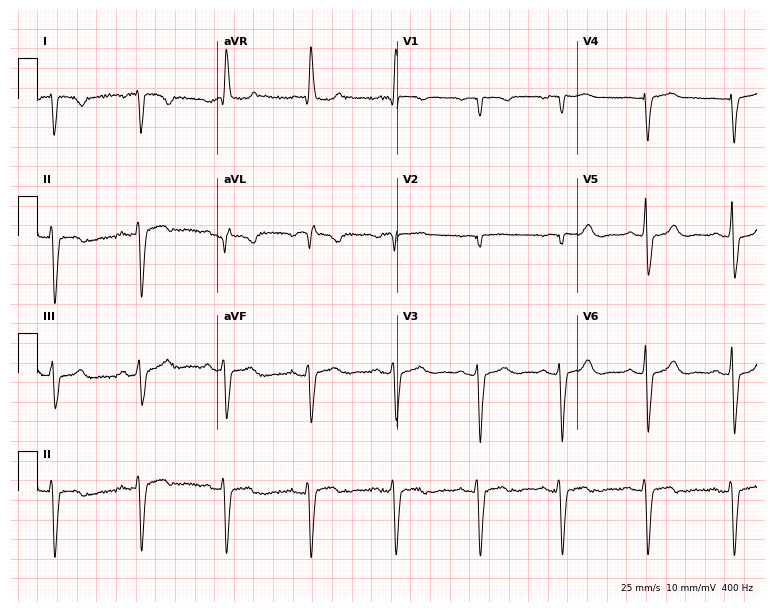
Standard 12-lead ECG recorded from a woman, 67 years old (7.3-second recording at 400 Hz). None of these six findings is recorded: first-degree AV block, right bundle branch block, left bundle branch block, sinus bradycardia, atrial fibrillation, sinus tachycardia.